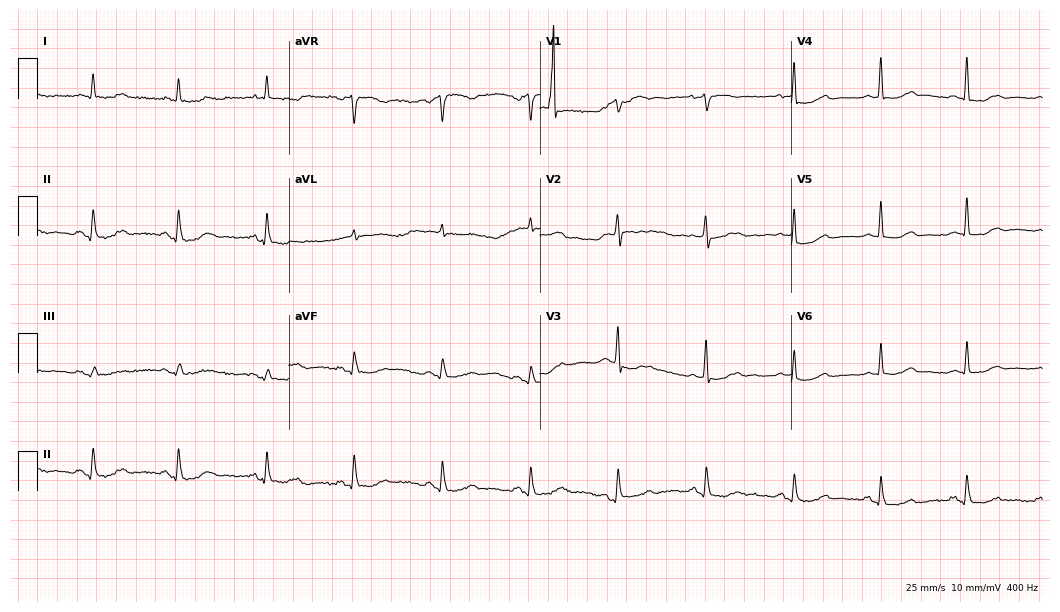
12-lead ECG (10.2-second recording at 400 Hz) from a woman, 81 years old. Screened for six findings — first-degree AV block, right bundle branch block, left bundle branch block, sinus bradycardia, atrial fibrillation, sinus tachycardia — none is recorded.